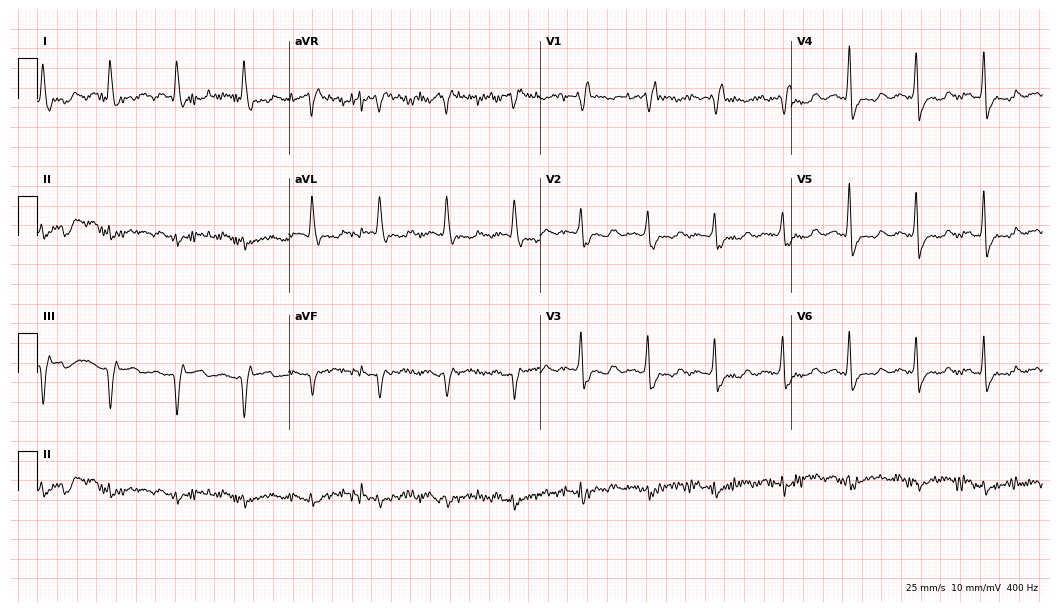
Standard 12-lead ECG recorded from a female patient, 79 years old. None of these six findings is recorded: first-degree AV block, right bundle branch block, left bundle branch block, sinus bradycardia, atrial fibrillation, sinus tachycardia.